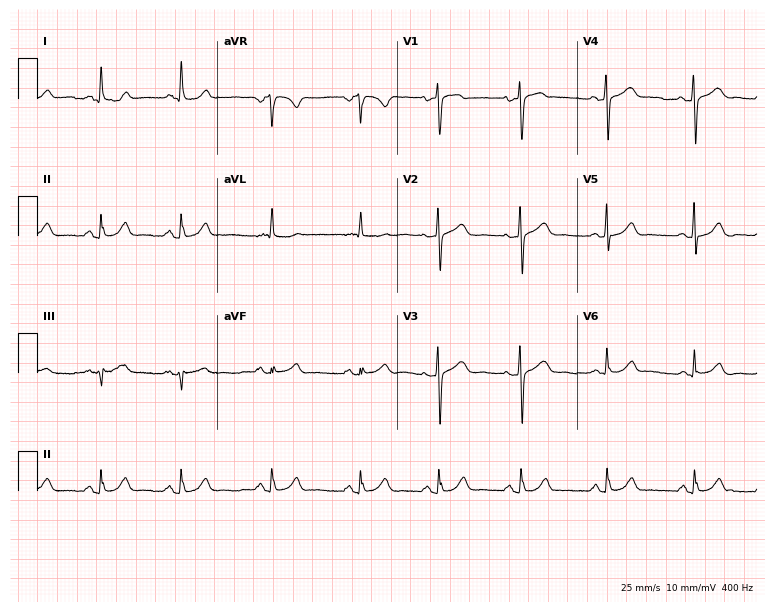
12-lead ECG from a 46-year-old female. Recorded interpretation: within normal limits.